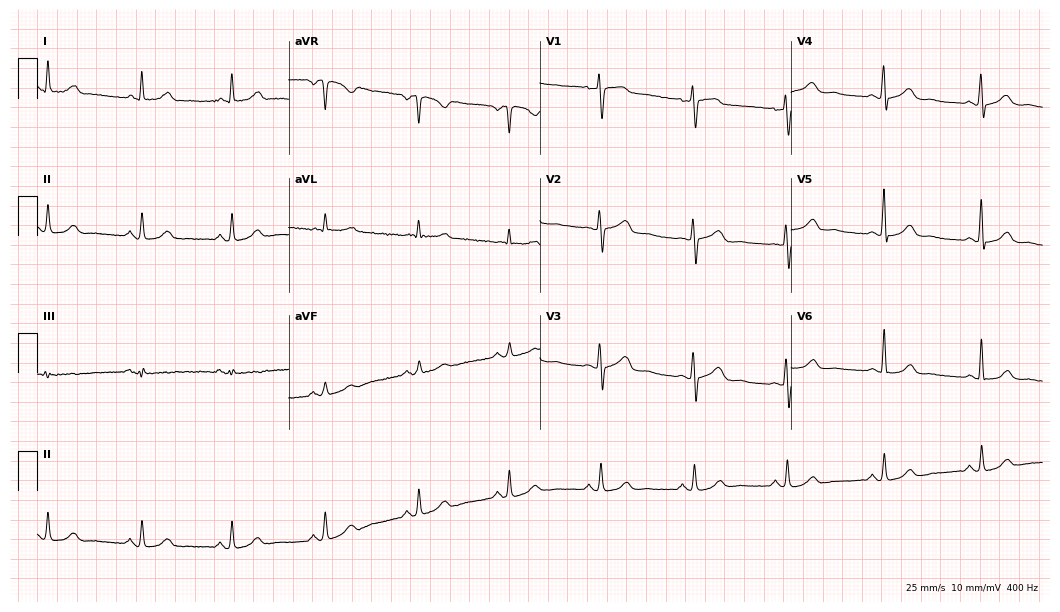
12-lead ECG from a 64-year-old woman. Labelled as a normal ECG.